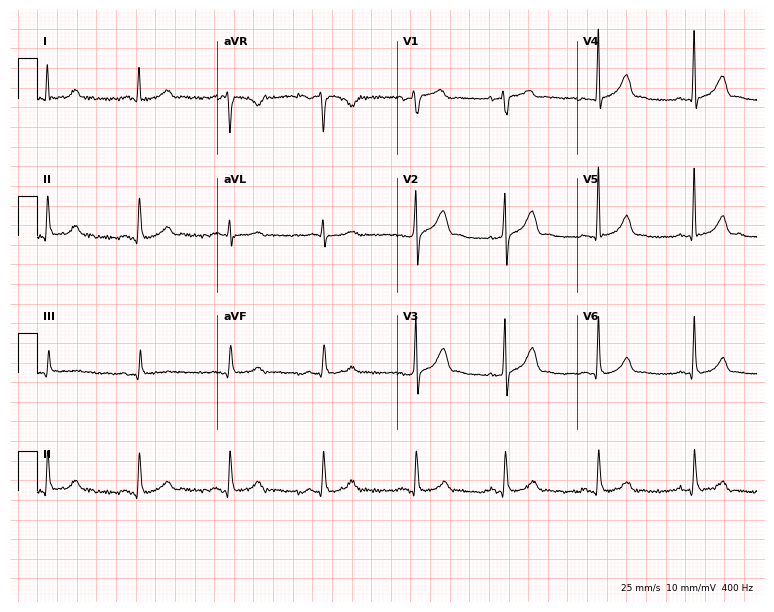
12-lead ECG from a male, 42 years old (7.3-second recording at 400 Hz). Recorded interpretation: within normal limits.